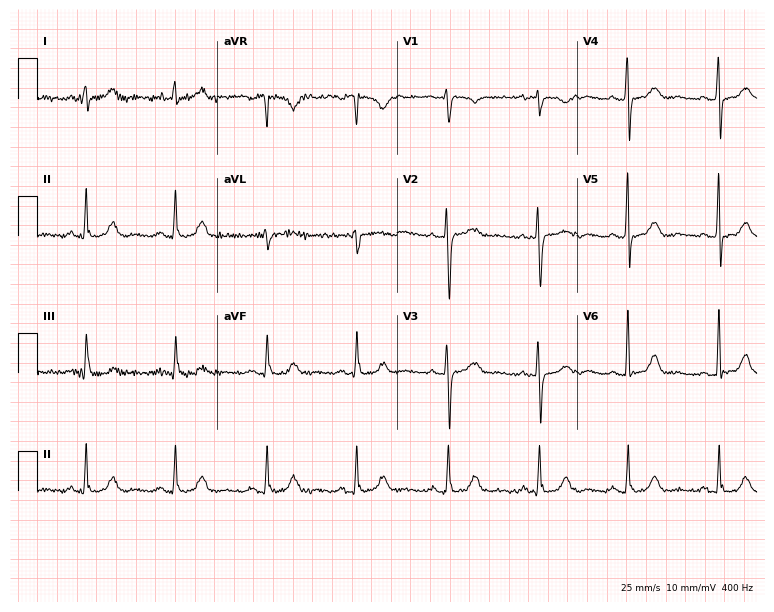
Electrocardiogram, a woman, 71 years old. Of the six screened findings (first-degree AV block, right bundle branch block (RBBB), left bundle branch block (LBBB), sinus bradycardia, atrial fibrillation (AF), sinus tachycardia), none is recorded.